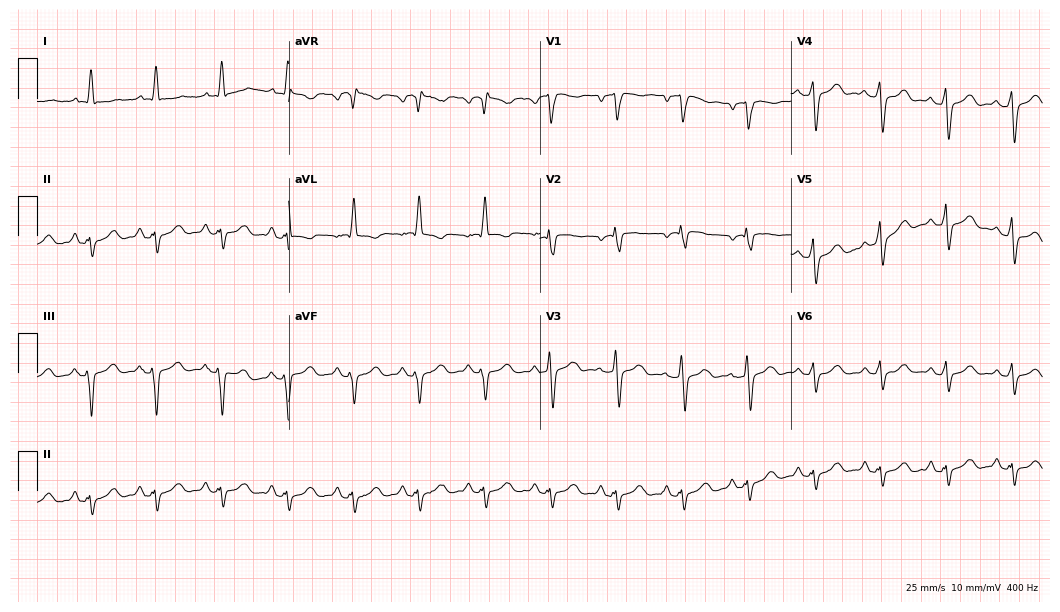
Electrocardiogram (10.2-second recording at 400 Hz), a male, 67 years old. Of the six screened findings (first-degree AV block, right bundle branch block (RBBB), left bundle branch block (LBBB), sinus bradycardia, atrial fibrillation (AF), sinus tachycardia), none is recorded. Only these six findings were labelled.